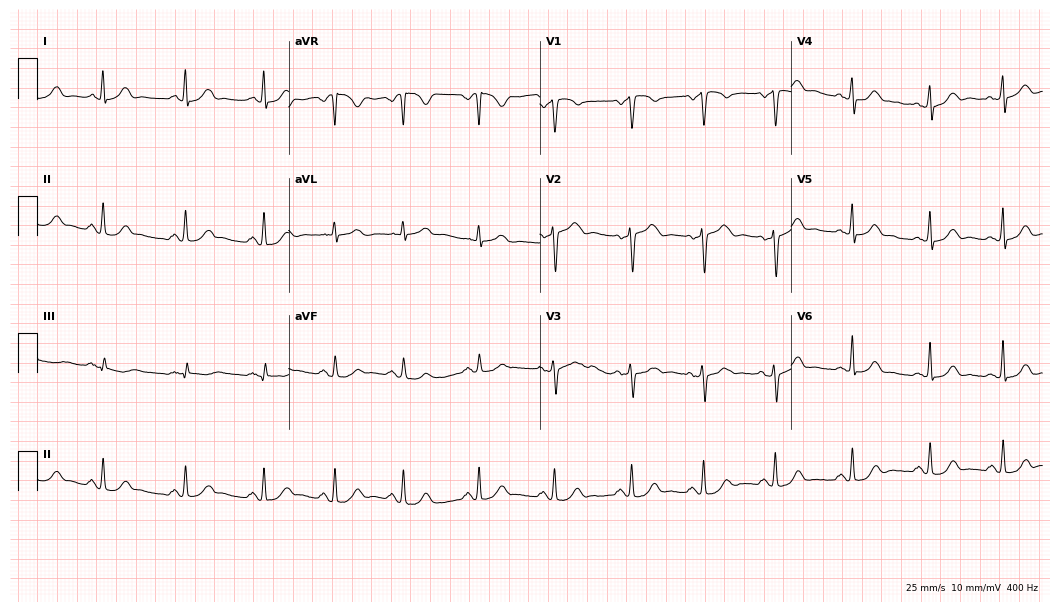
Resting 12-lead electrocardiogram. Patient: a 50-year-old female. Read as a normal ECG.